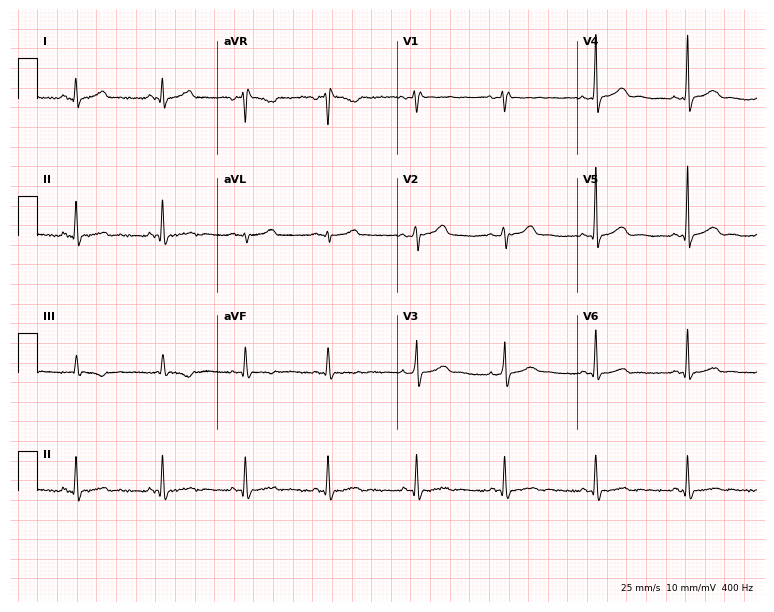
Electrocardiogram, a 44-year-old female. Of the six screened findings (first-degree AV block, right bundle branch block, left bundle branch block, sinus bradycardia, atrial fibrillation, sinus tachycardia), none is recorded.